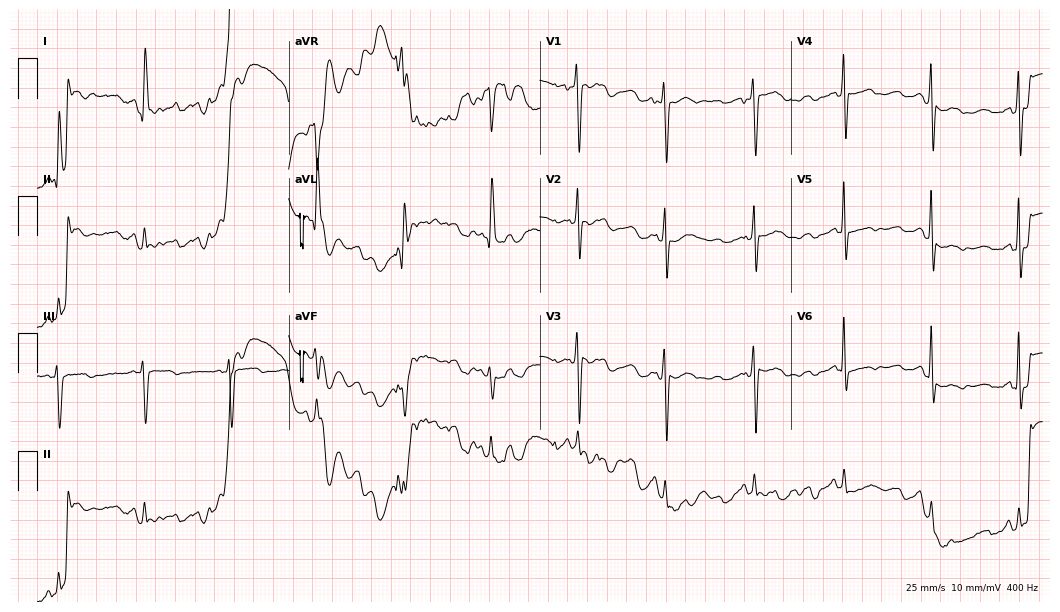
12-lead ECG from a female patient, 73 years old (10.2-second recording at 400 Hz). No first-degree AV block, right bundle branch block (RBBB), left bundle branch block (LBBB), sinus bradycardia, atrial fibrillation (AF) or sinus tachycardia recorded for this tracing. Findings outside these six are not listed.